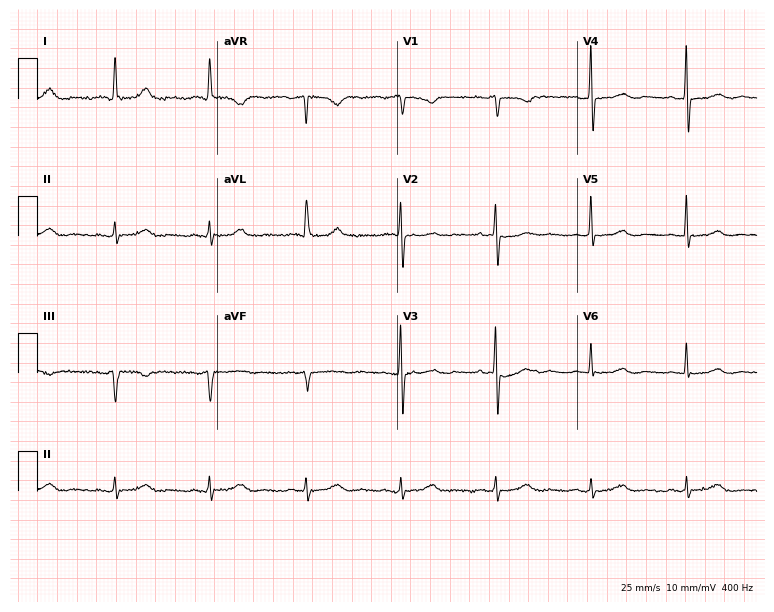
ECG — a female patient, 80 years old. Screened for six findings — first-degree AV block, right bundle branch block, left bundle branch block, sinus bradycardia, atrial fibrillation, sinus tachycardia — none is recorded. Only these six findings were labelled.